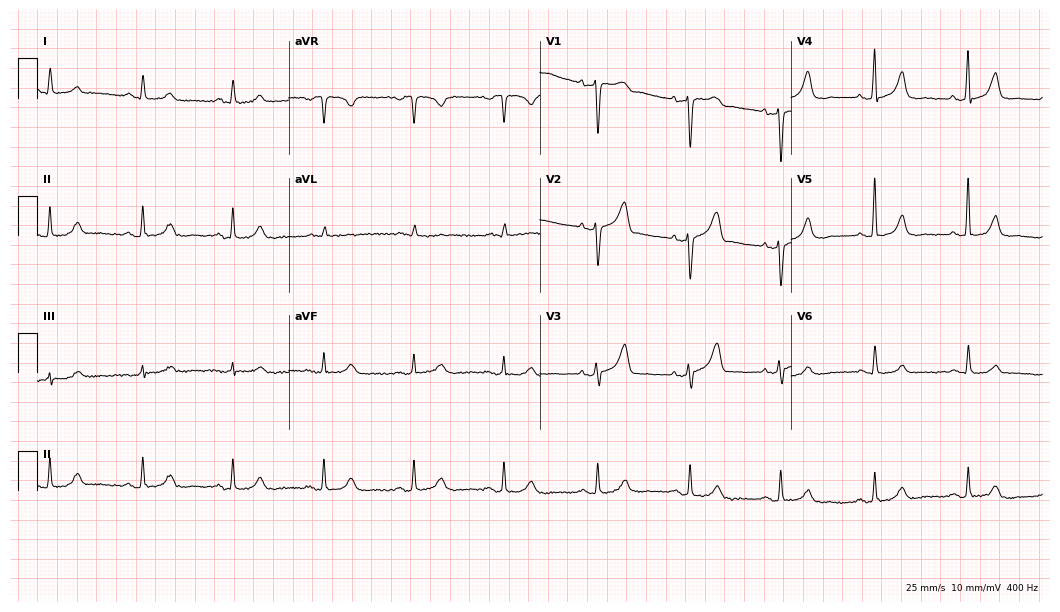
12-lead ECG (10.2-second recording at 400 Hz) from a 61-year-old female patient. Labelled as a normal ECG.